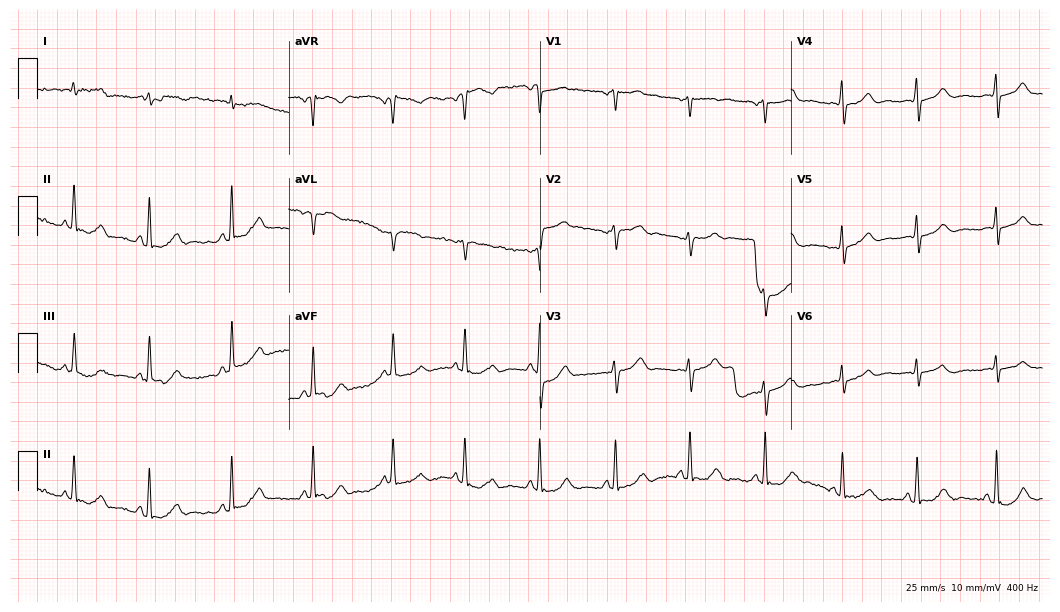
Resting 12-lead electrocardiogram. Patient: a 44-year-old female. None of these six findings is recorded: first-degree AV block, right bundle branch block, left bundle branch block, sinus bradycardia, atrial fibrillation, sinus tachycardia. Other findings, if any, are not listed.